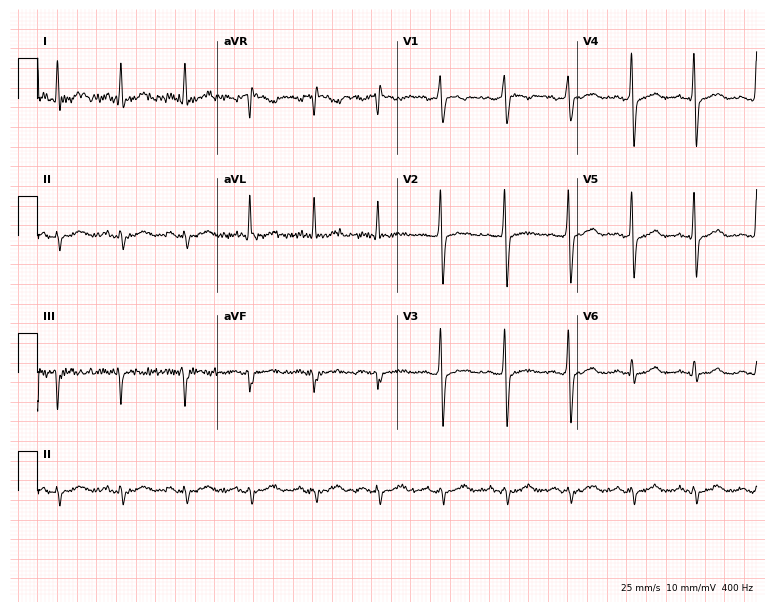
Electrocardiogram (7.3-second recording at 400 Hz), a male patient, 38 years old. Of the six screened findings (first-degree AV block, right bundle branch block, left bundle branch block, sinus bradycardia, atrial fibrillation, sinus tachycardia), none is recorded. Only these six findings were labelled.